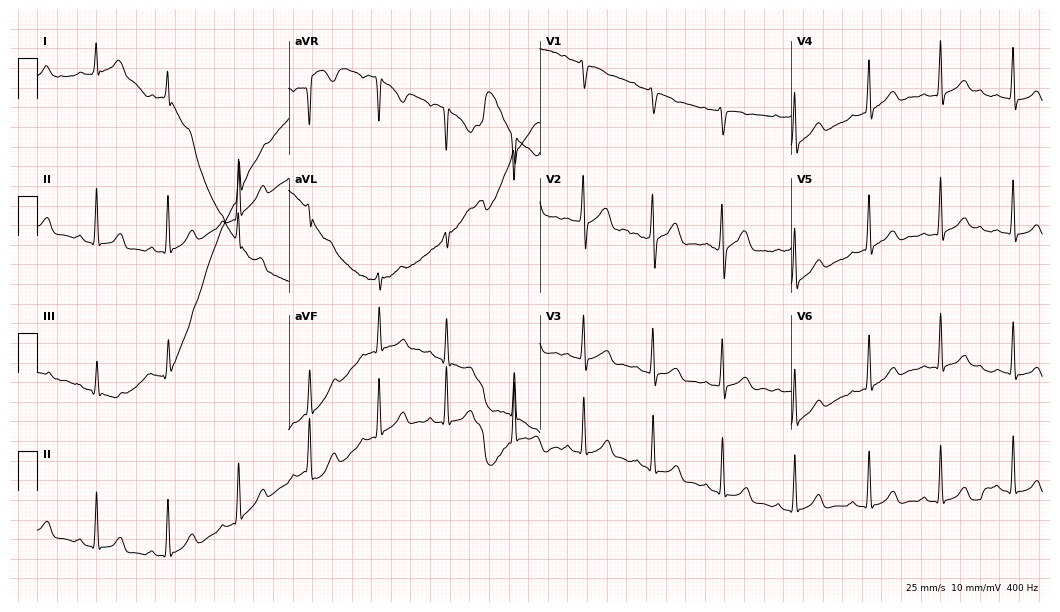
12-lead ECG from a woman, 27 years old (10.2-second recording at 400 Hz). Recorded interpretation: within normal limits.